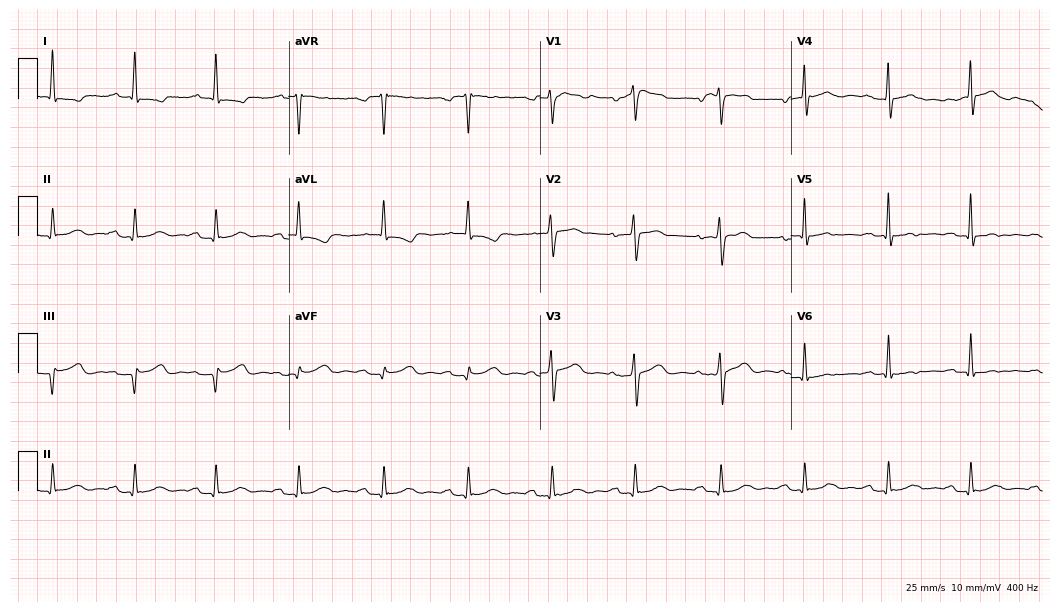
Resting 12-lead electrocardiogram. Patient: a 68-year-old male. The tracing shows first-degree AV block.